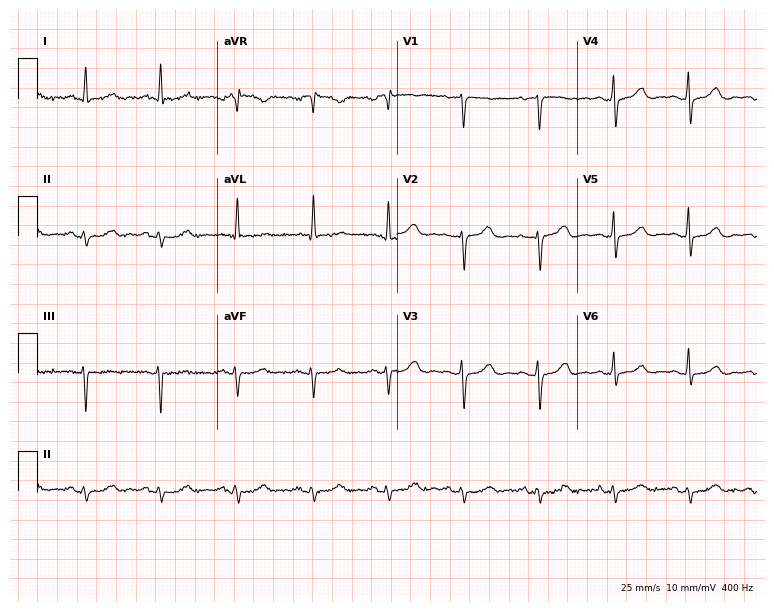
Electrocardiogram, an 83-year-old female. Of the six screened findings (first-degree AV block, right bundle branch block, left bundle branch block, sinus bradycardia, atrial fibrillation, sinus tachycardia), none is recorded.